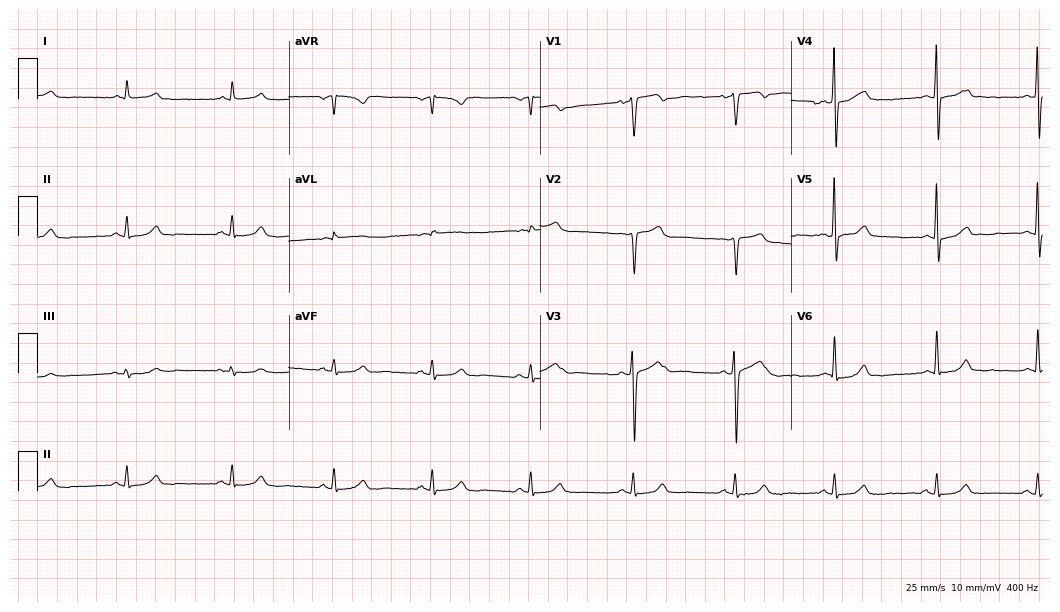
12-lead ECG from a man, 54 years old. Labelled as a normal ECG.